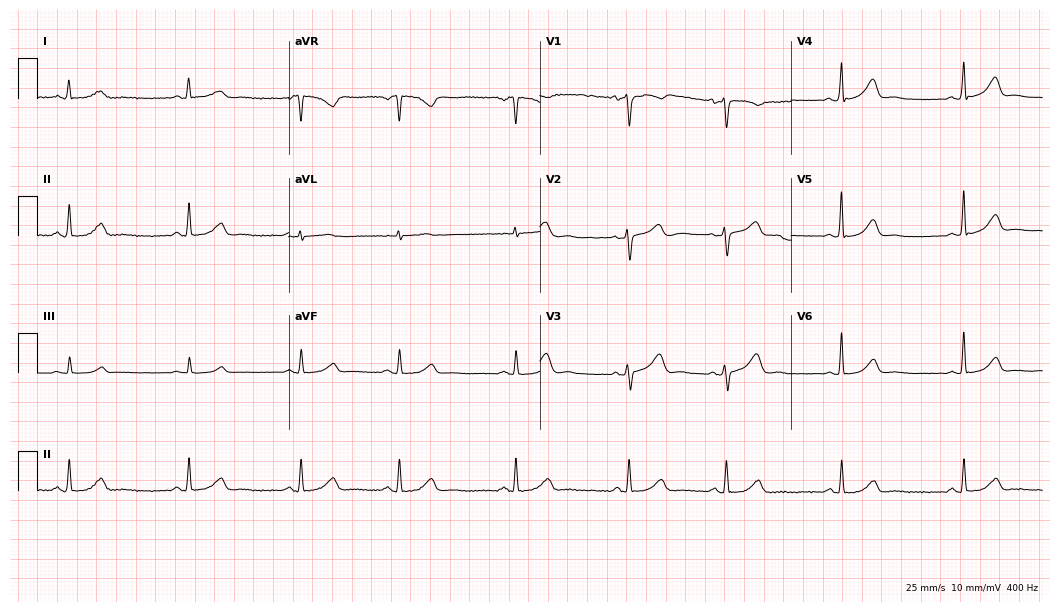
12-lead ECG (10.2-second recording at 400 Hz) from a woman, 29 years old. Labelled as a normal ECG.